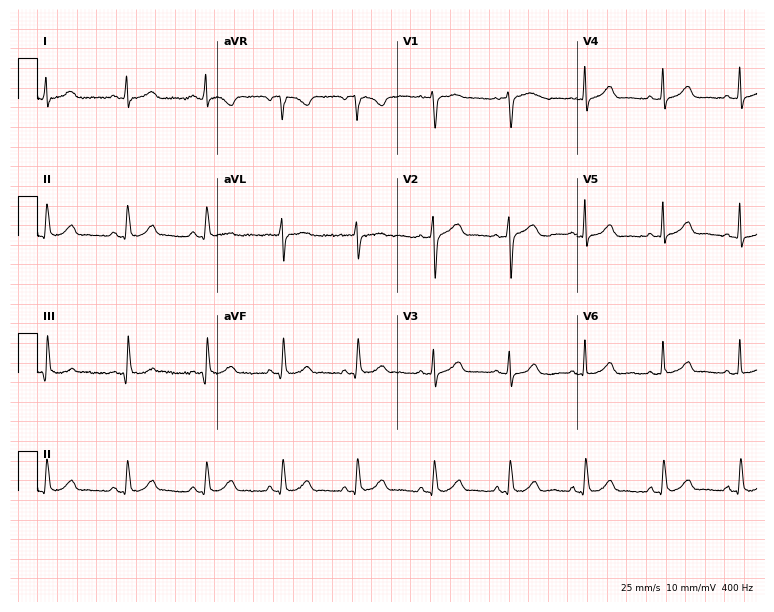
12-lead ECG from a 38-year-old woman. Recorded interpretation: within normal limits.